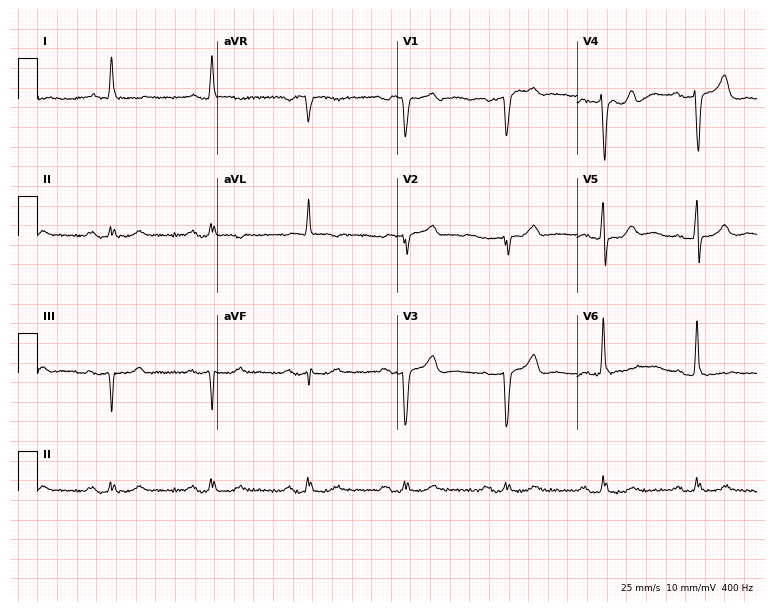
Standard 12-lead ECG recorded from an 84-year-old male. None of these six findings is recorded: first-degree AV block, right bundle branch block, left bundle branch block, sinus bradycardia, atrial fibrillation, sinus tachycardia. Other findings, if any, are not listed.